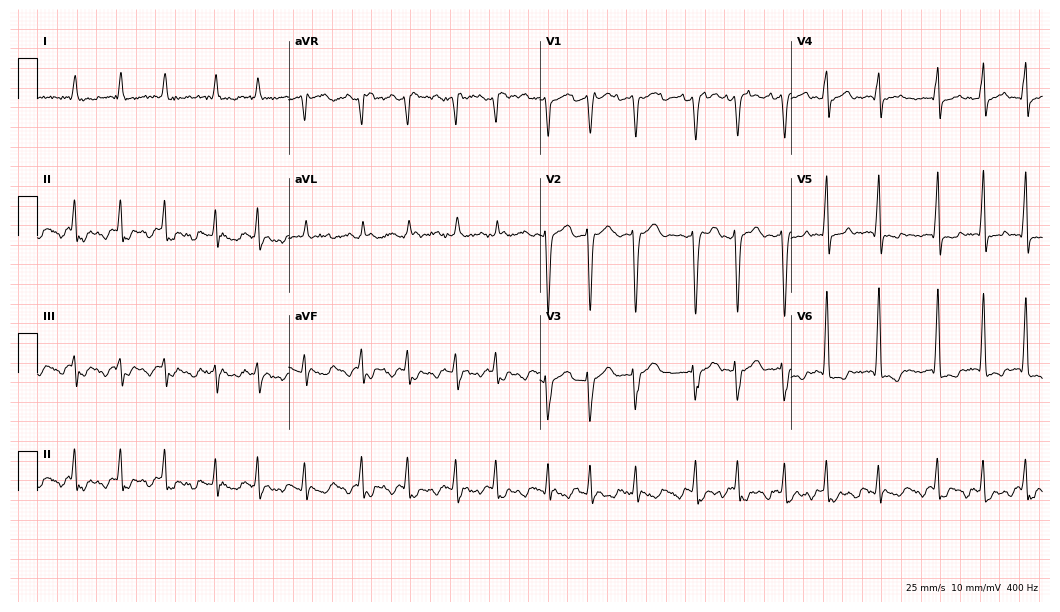
Resting 12-lead electrocardiogram (10.2-second recording at 400 Hz). Patient: a man, 69 years old. The tracing shows atrial fibrillation.